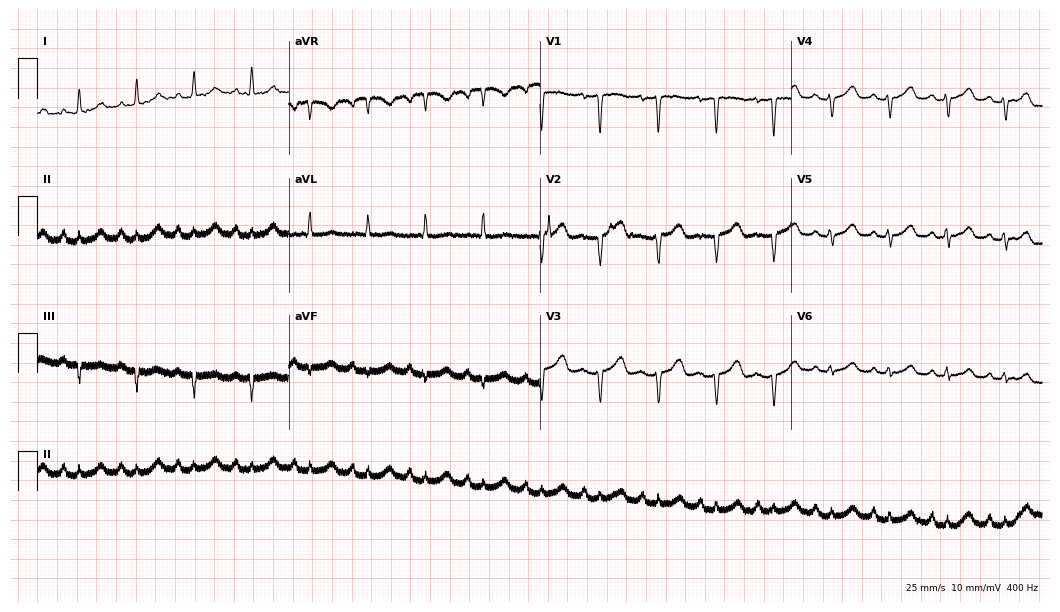
ECG — a female, 57 years old. Screened for six findings — first-degree AV block, right bundle branch block, left bundle branch block, sinus bradycardia, atrial fibrillation, sinus tachycardia — none is recorded.